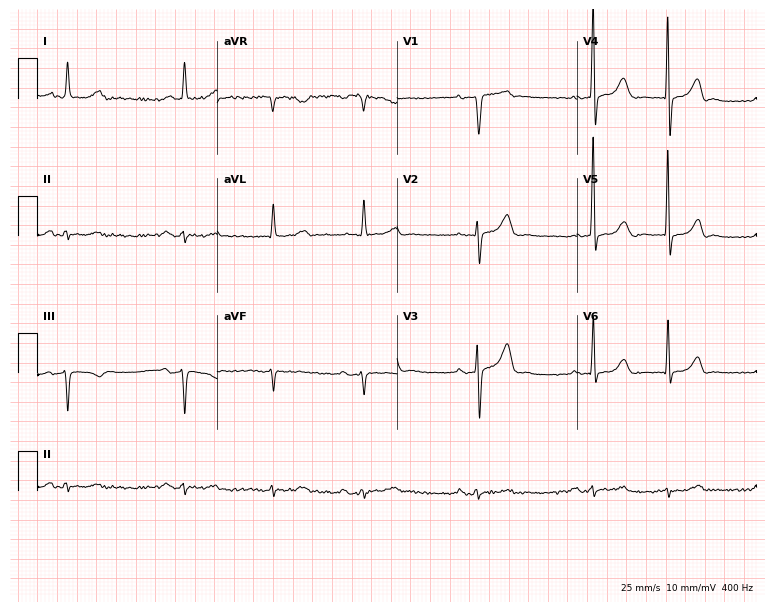
12-lead ECG from a 79-year-old male patient (7.3-second recording at 400 Hz). No first-degree AV block, right bundle branch block, left bundle branch block, sinus bradycardia, atrial fibrillation or sinus tachycardia recorded for this tracing. Only these six findings were labelled.